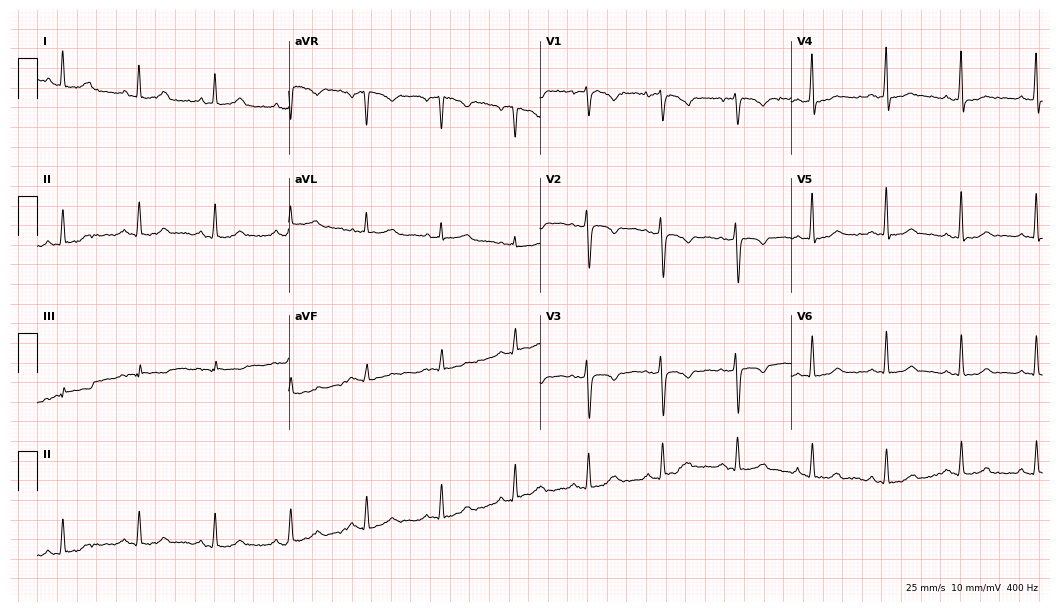
Electrocardiogram (10.2-second recording at 400 Hz), a 38-year-old woman. Overall reading on record: normal ECG.